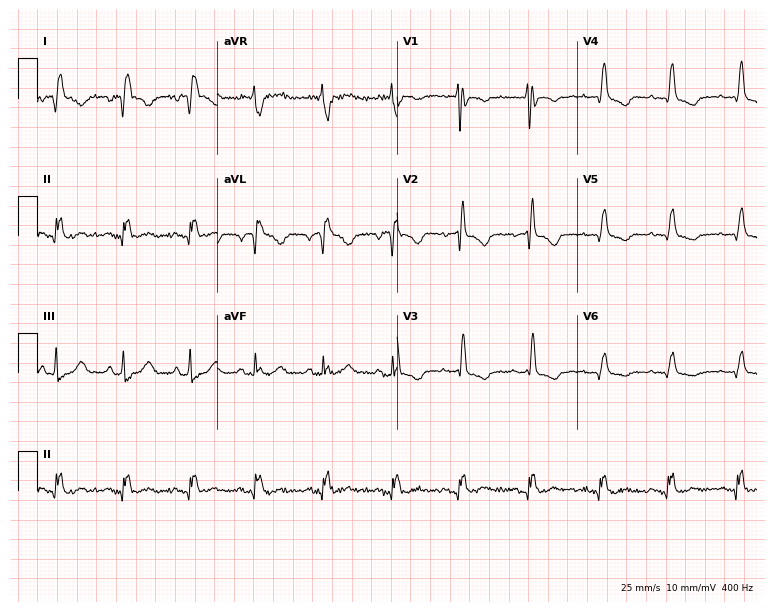
ECG — a 62-year-old female. Screened for six findings — first-degree AV block, right bundle branch block (RBBB), left bundle branch block (LBBB), sinus bradycardia, atrial fibrillation (AF), sinus tachycardia — none is recorded. Other findings, if any, are not listed.